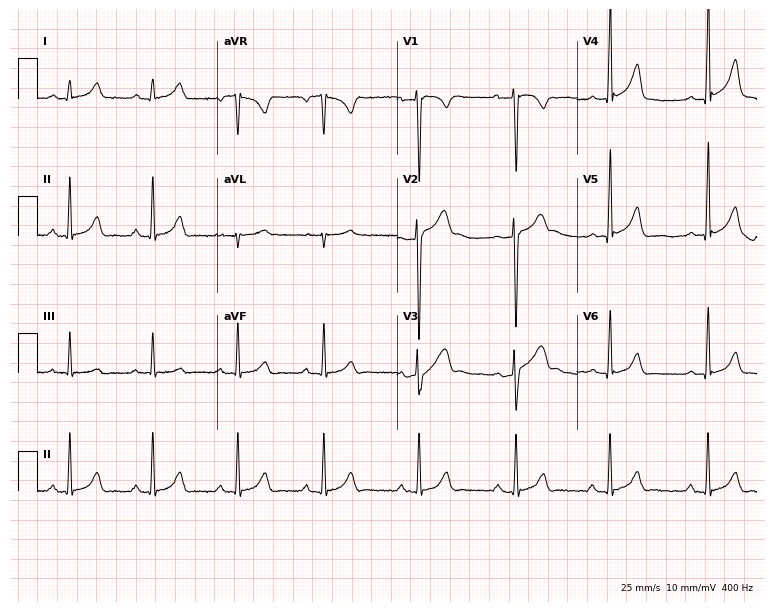
Resting 12-lead electrocardiogram. Patient: a 25-year-old male. Read as a normal ECG.